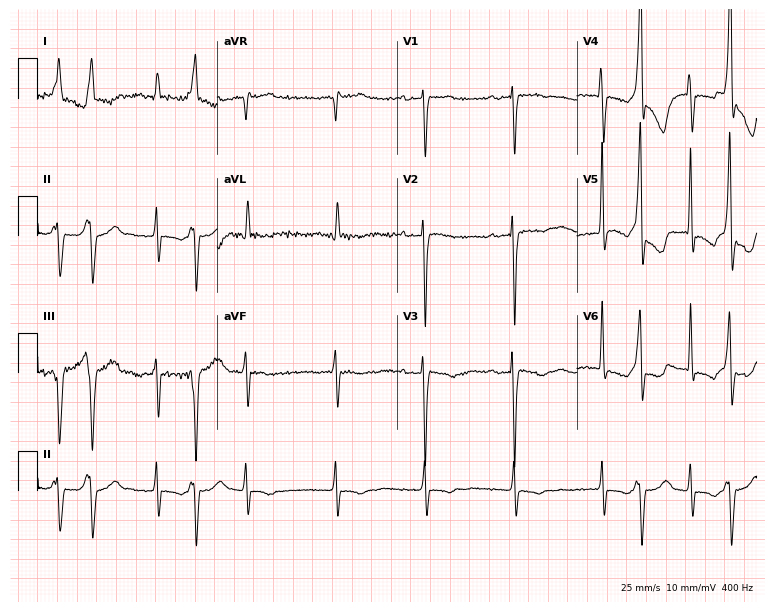
Electrocardiogram, a male, 79 years old. Interpretation includes first-degree AV block.